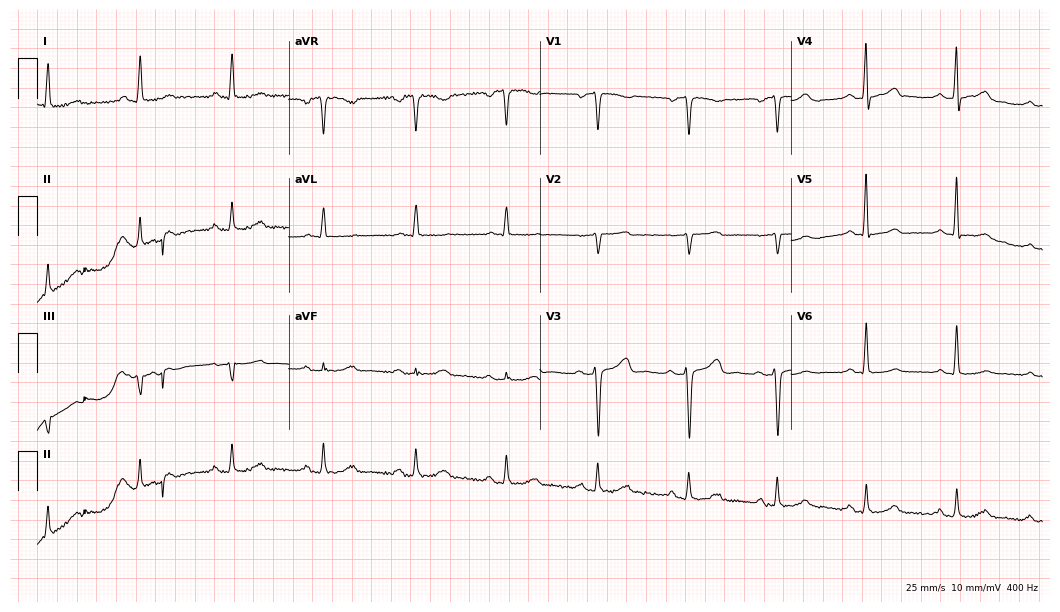
12-lead ECG (10.2-second recording at 400 Hz) from a 52-year-old female. Screened for six findings — first-degree AV block, right bundle branch block, left bundle branch block, sinus bradycardia, atrial fibrillation, sinus tachycardia — none is recorded. Only these six findings were labelled.